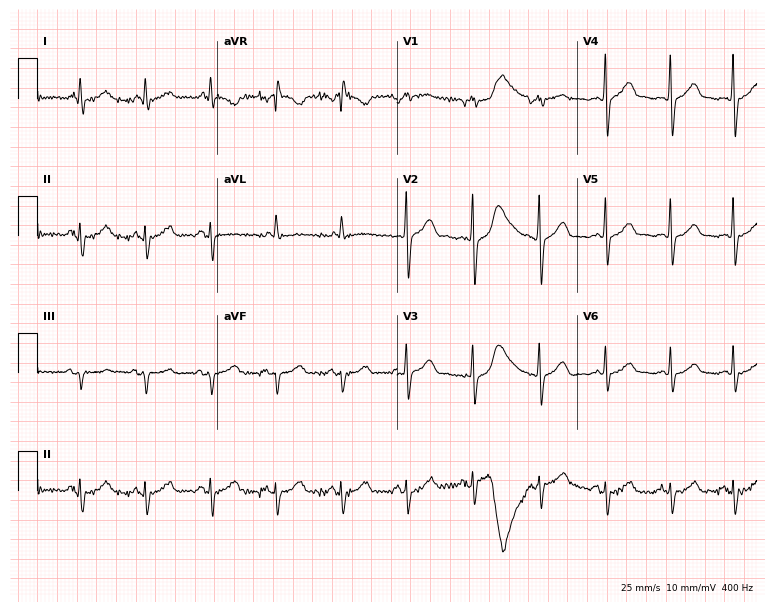
12-lead ECG from a male patient, 61 years old (7.3-second recording at 400 Hz). No first-degree AV block, right bundle branch block (RBBB), left bundle branch block (LBBB), sinus bradycardia, atrial fibrillation (AF) or sinus tachycardia recorded for this tracing.